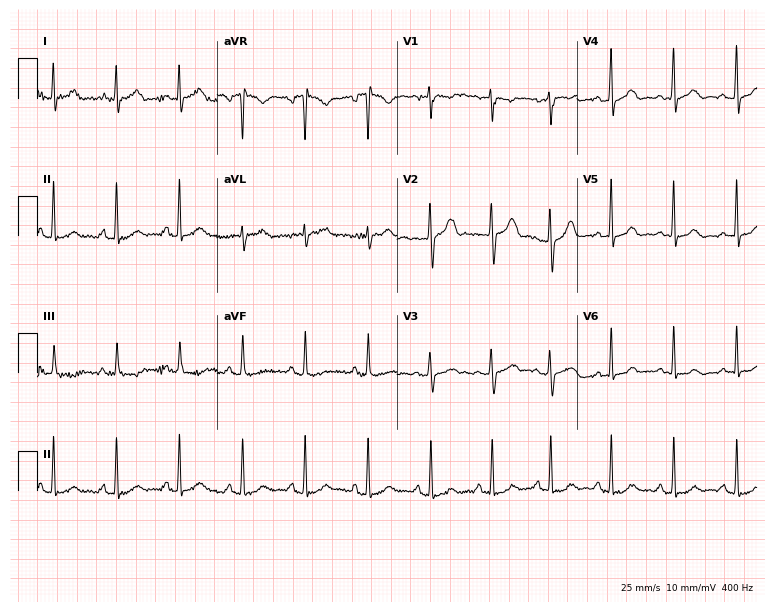
12-lead ECG from a female, 40 years old. Labelled as a normal ECG.